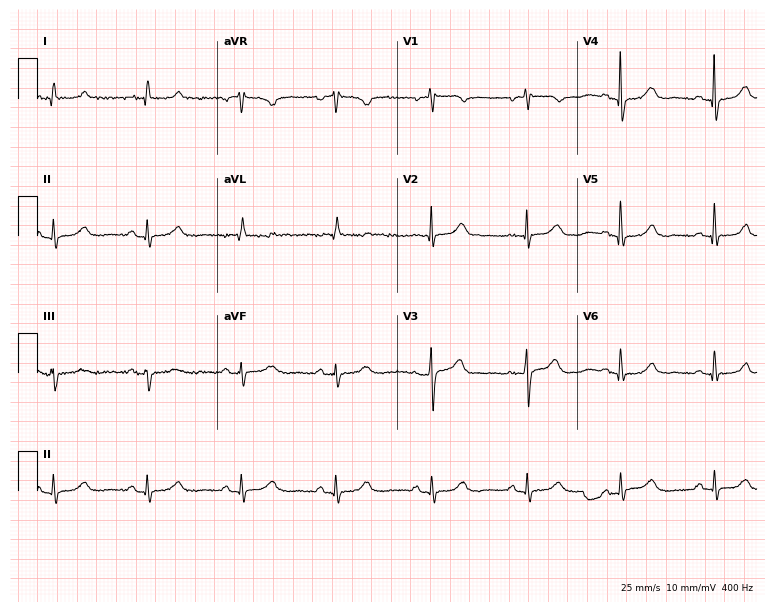
Resting 12-lead electrocardiogram. Patient: a female, 69 years old. None of these six findings is recorded: first-degree AV block, right bundle branch block, left bundle branch block, sinus bradycardia, atrial fibrillation, sinus tachycardia.